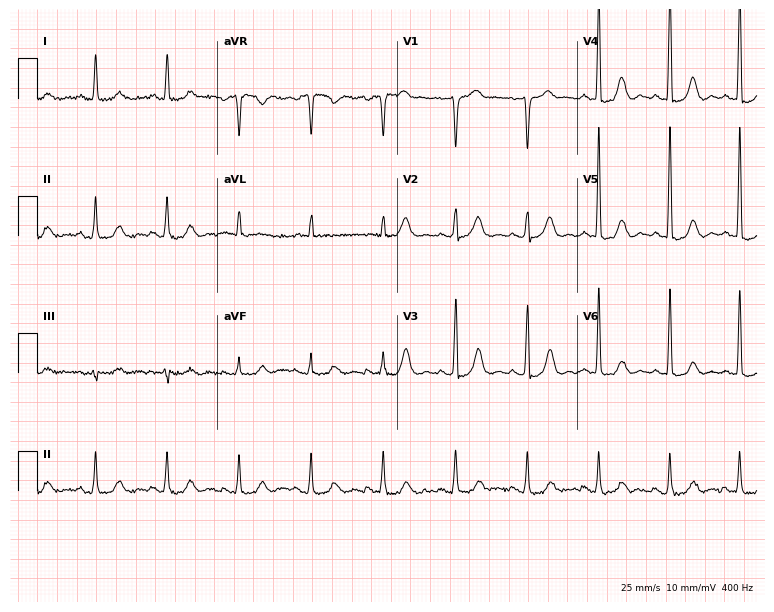
Resting 12-lead electrocardiogram. Patient: a 72-year-old female. Read as a normal ECG.